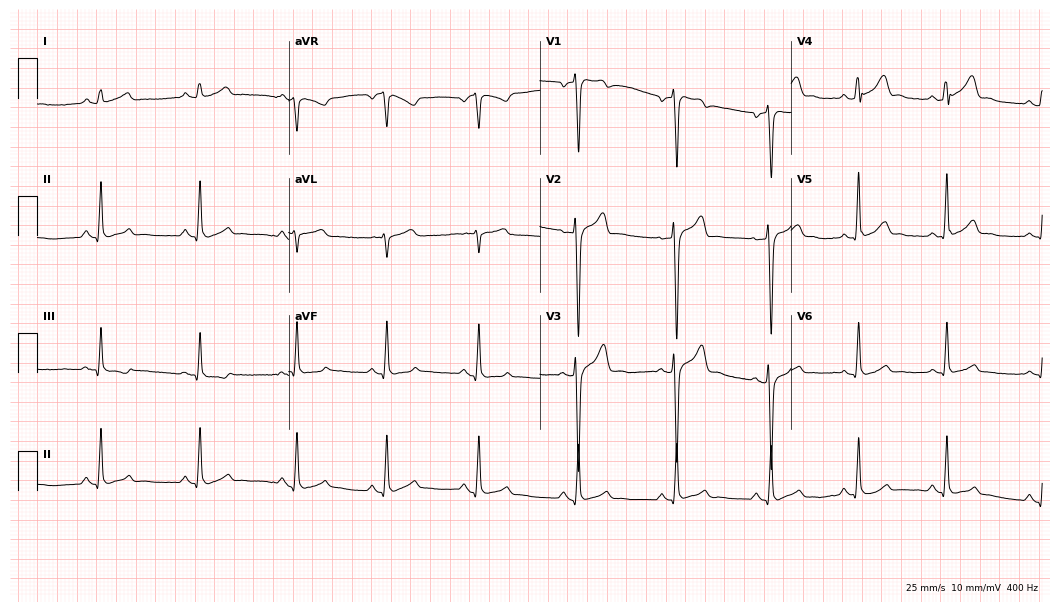
Resting 12-lead electrocardiogram. Patient: a 34-year-old male. Read as a normal ECG.